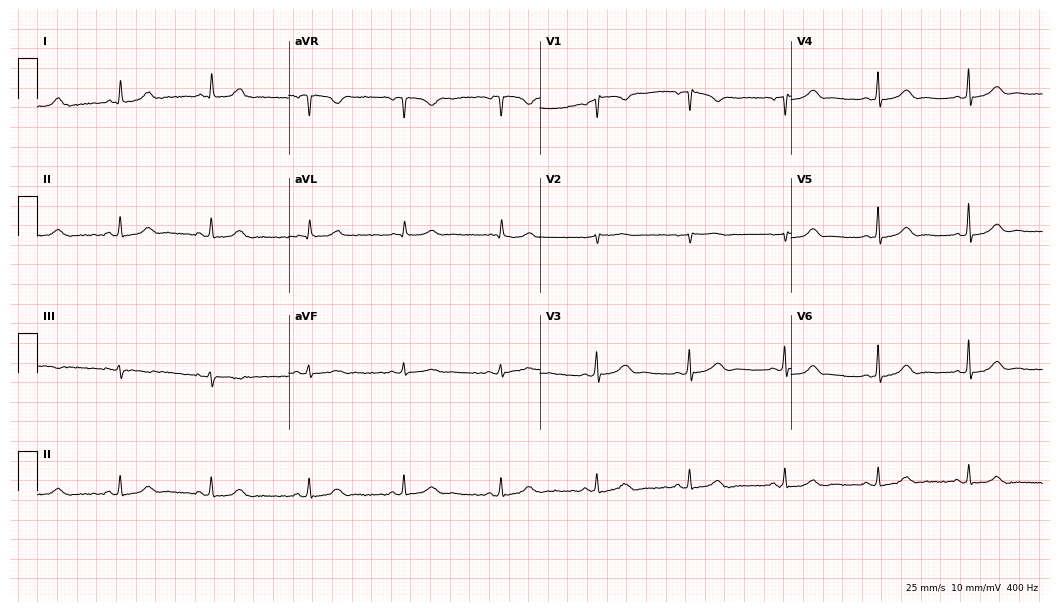
12-lead ECG from a 27-year-old woman (10.2-second recording at 400 Hz). Recorded interpretation: within normal limits.